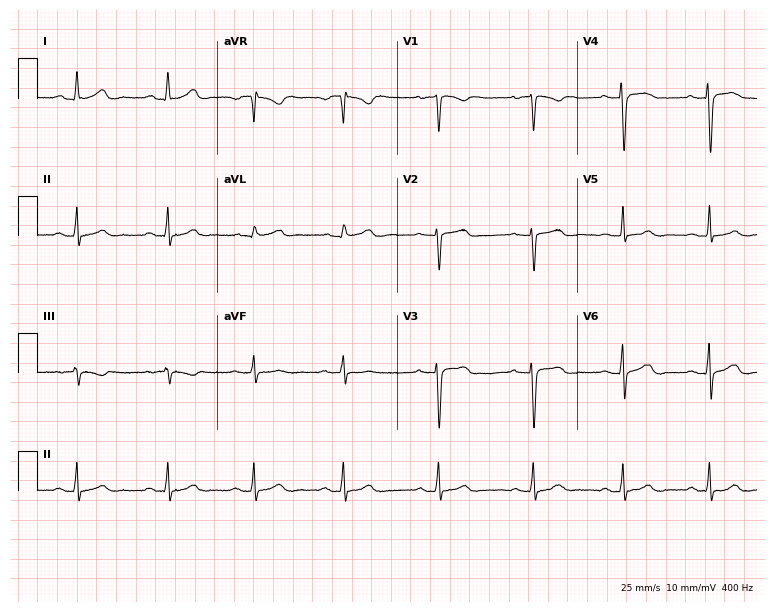
12-lead ECG (7.3-second recording at 400 Hz) from a 32-year-old female. Labelled as a normal ECG.